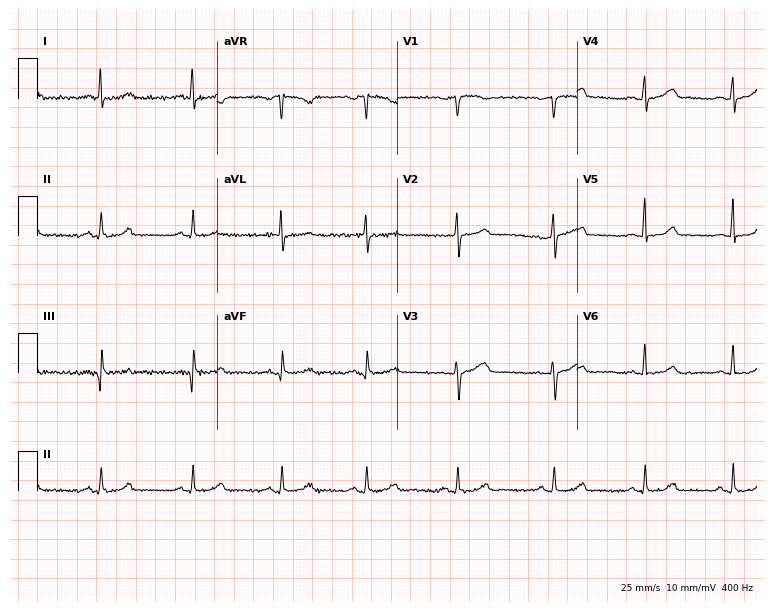
Electrocardiogram (7.3-second recording at 400 Hz), a 45-year-old female. Overall reading on record: normal ECG.